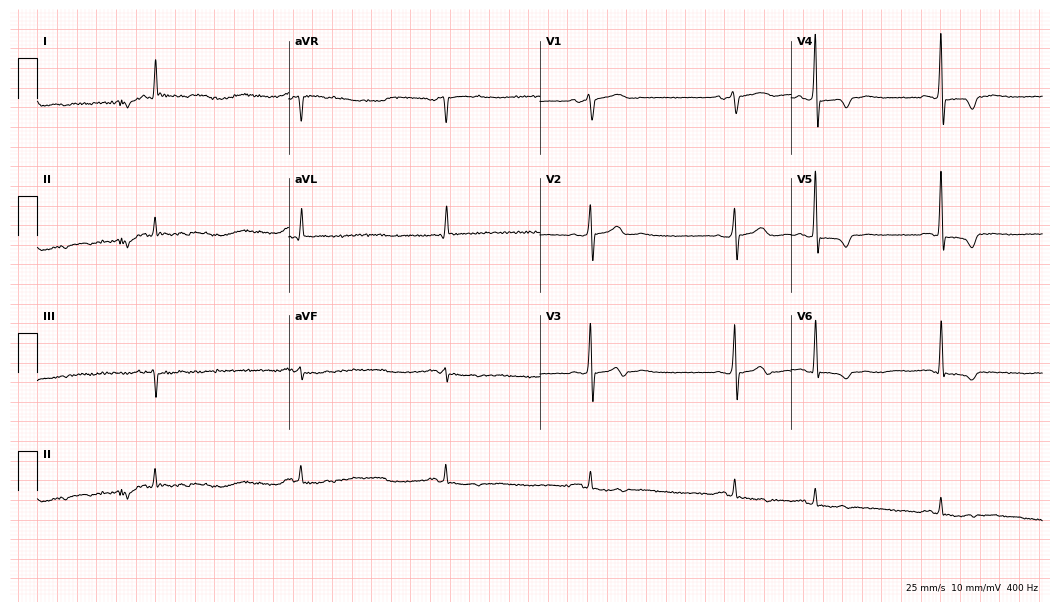
Standard 12-lead ECG recorded from a man, 75 years old (10.2-second recording at 400 Hz). None of these six findings is recorded: first-degree AV block, right bundle branch block, left bundle branch block, sinus bradycardia, atrial fibrillation, sinus tachycardia. Other findings, if any, are not listed.